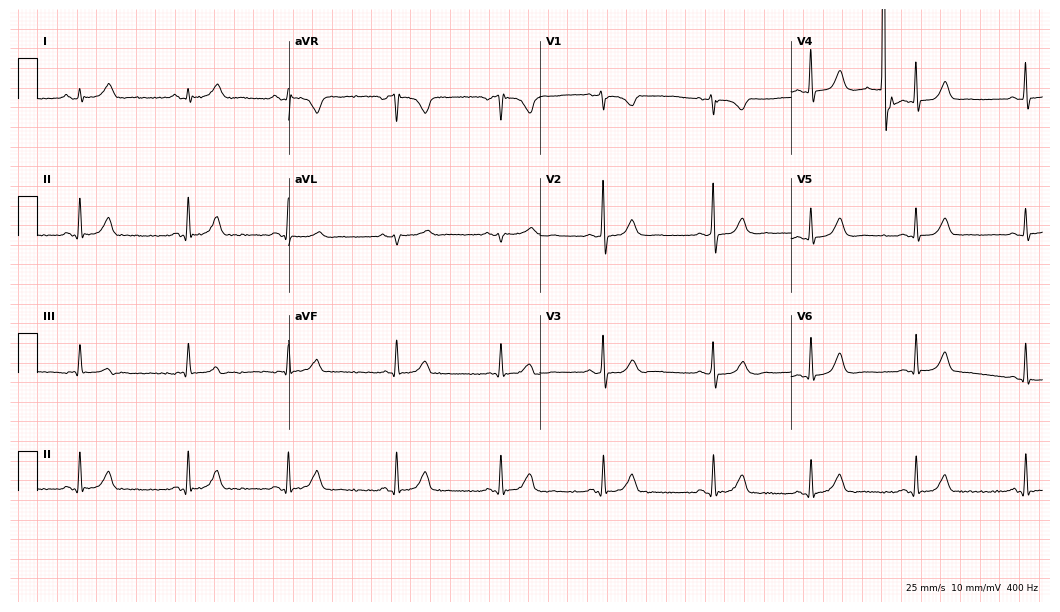
Electrocardiogram (10.2-second recording at 400 Hz), a female patient, 69 years old. Overall reading on record: normal ECG.